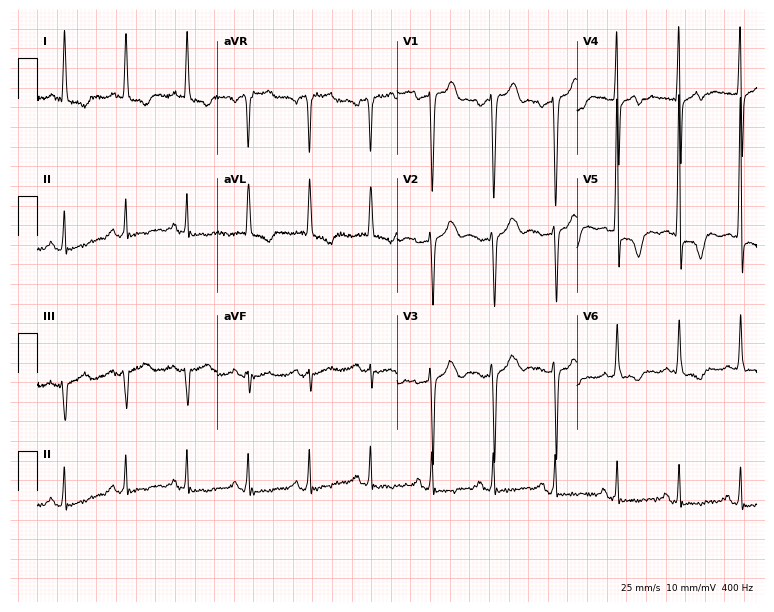
Electrocardiogram (7.3-second recording at 400 Hz), a 54-year-old male. Of the six screened findings (first-degree AV block, right bundle branch block (RBBB), left bundle branch block (LBBB), sinus bradycardia, atrial fibrillation (AF), sinus tachycardia), none is recorded. Only these six findings were labelled.